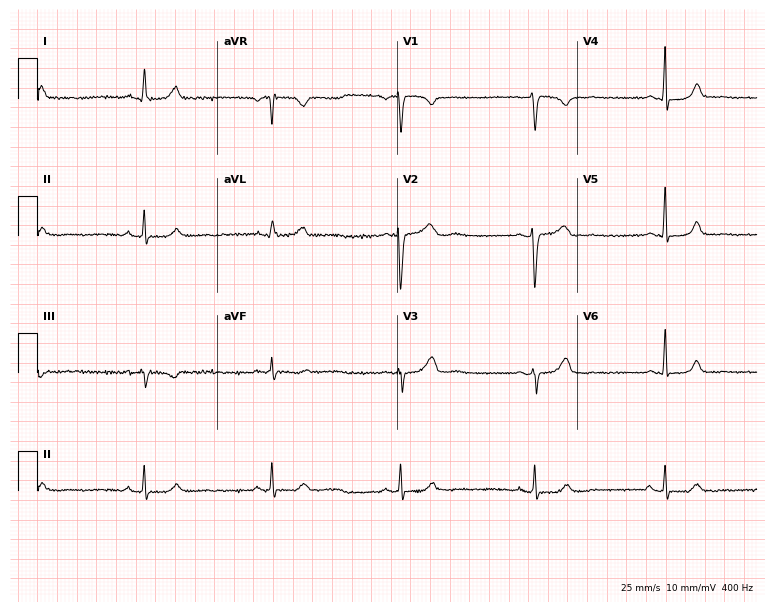
ECG — a woman, 32 years old. Findings include sinus bradycardia (a sinus rate of 50 beats per minute or less).